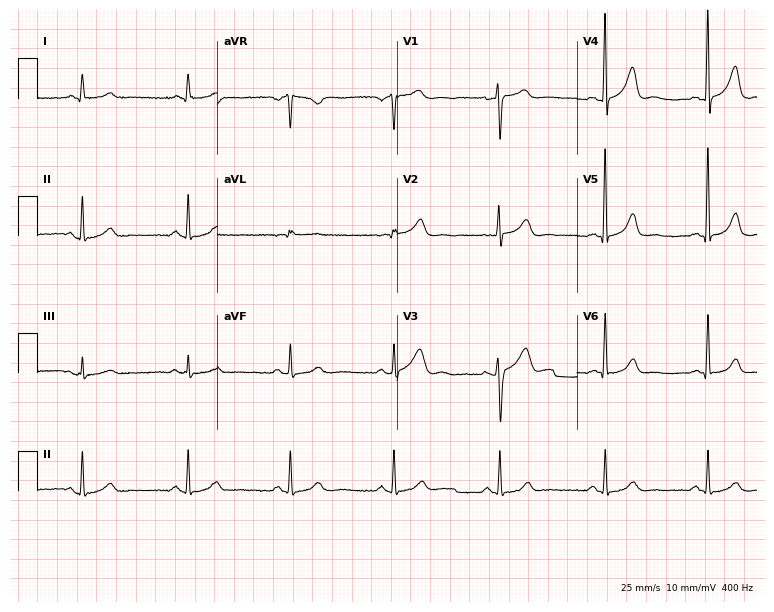
ECG (7.3-second recording at 400 Hz) — a 48-year-old male. Screened for six findings — first-degree AV block, right bundle branch block, left bundle branch block, sinus bradycardia, atrial fibrillation, sinus tachycardia — none is recorded. Findings outside these six are not listed.